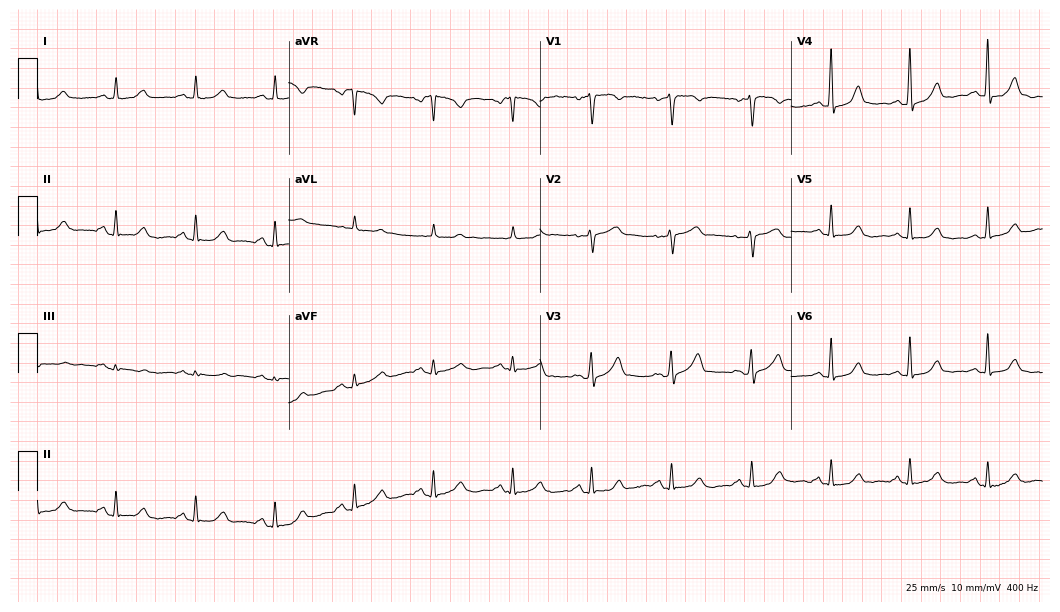
12-lead ECG from a female patient, 49 years old. Recorded interpretation: within normal limits.